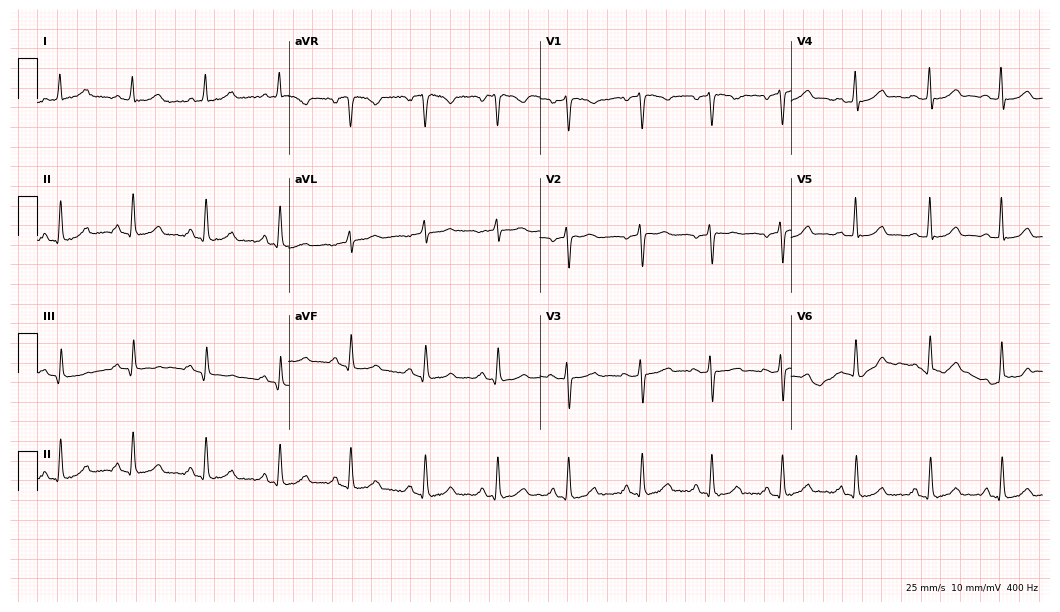
ECG — a 43-year-old female. Labelled as a normal ECG.